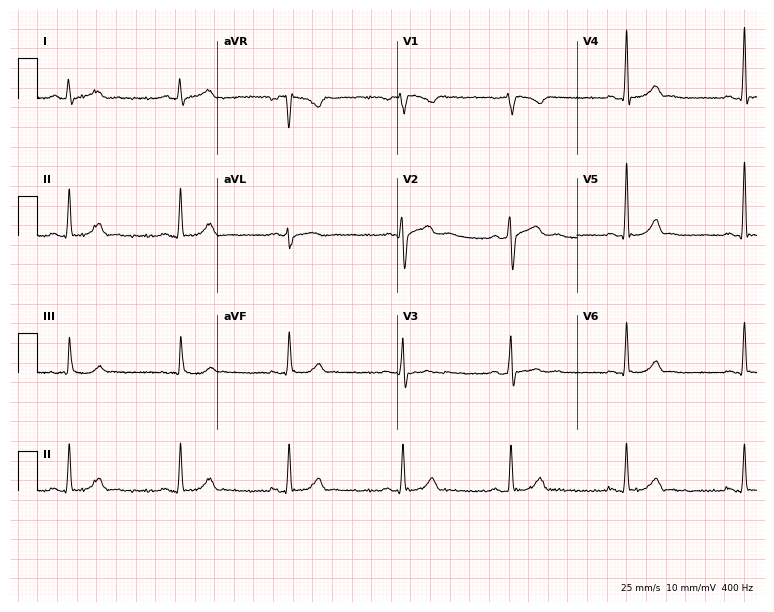
Standard 12-lead ECG recorded from a man, 30 years old. None of these six findings is recorded: first-degree AV block, right bundle branch block, left bundle branch block, sinus bradycardia, atrial fibrillation, sinus tachycardia. Only these six findings were labelled.